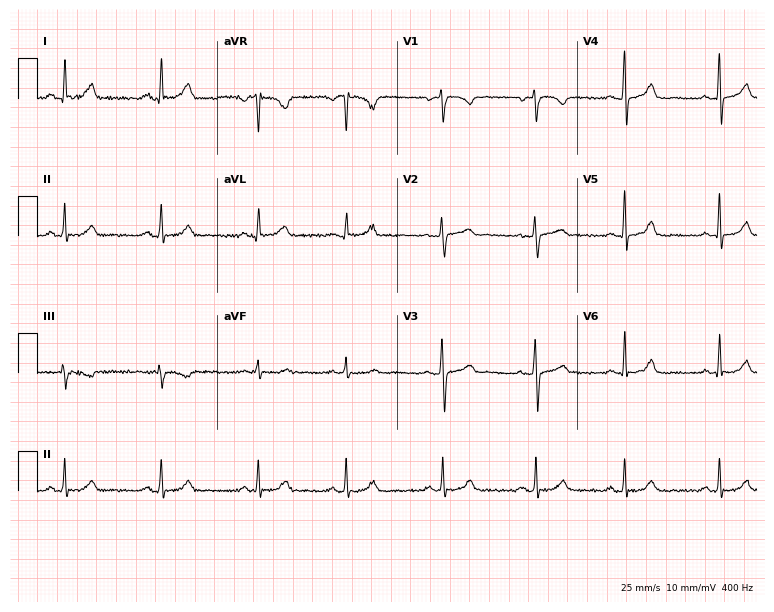
12-lead ECG from a 42-year-old female. Labelled as a normal ECG.